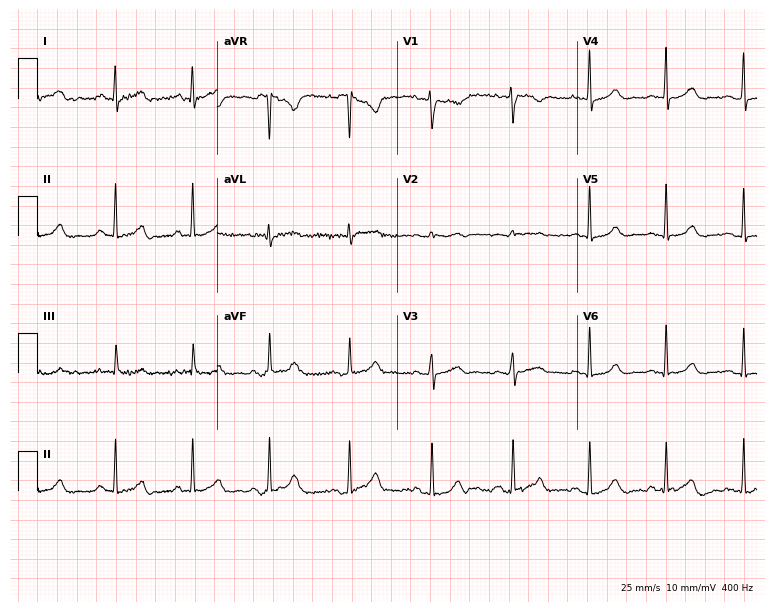
12-lead ECG from a female patient, 47 years old (7.3-second recording at 400 Hz). Recorded interpretation: within normal limits.